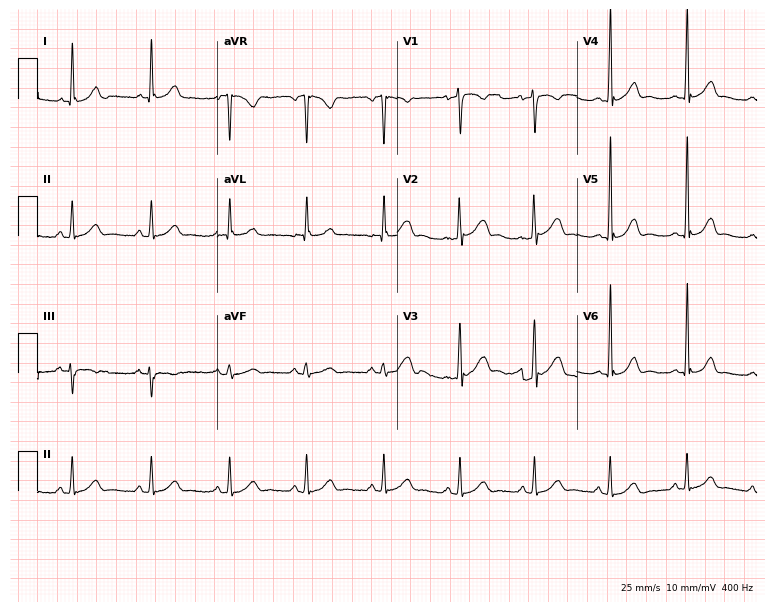
12-lead ECG (7.3-second recording at 400 Hz) from a 38-year-old woman. Screened for six findings — first-degree AV block, right bundle branch block (RBBB), left bundle branch block (LBBB), sinus bradycardia, atrial fibrillation (AF), sinus tachycardia — none is recorded. Findings outside these six are not listed.